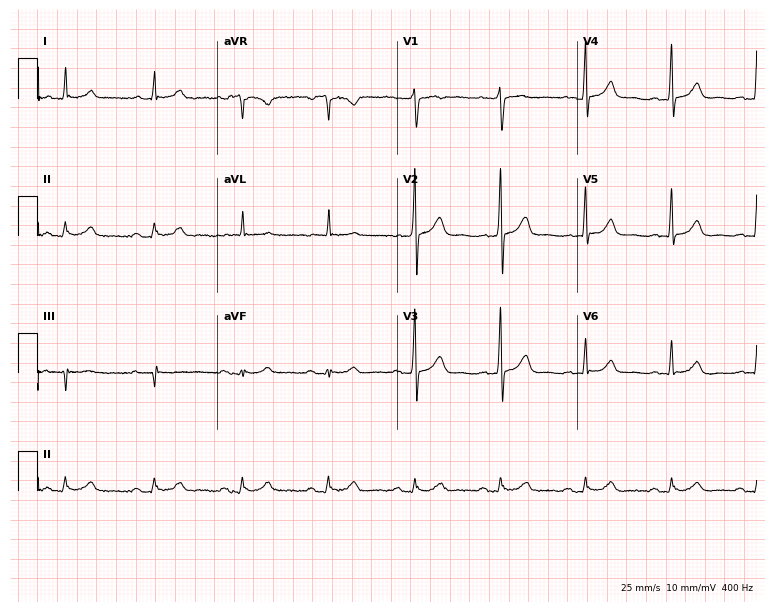
Standard 12-lead ECG recorded from a 51-year-old male patient. None of these six findings is recorded: first-degree AV block, right bundle branch block (RBBB), left bundle branch block (LBBB), sinus bradycardia, atrial fibrillation (AF), sinus tachycardia.